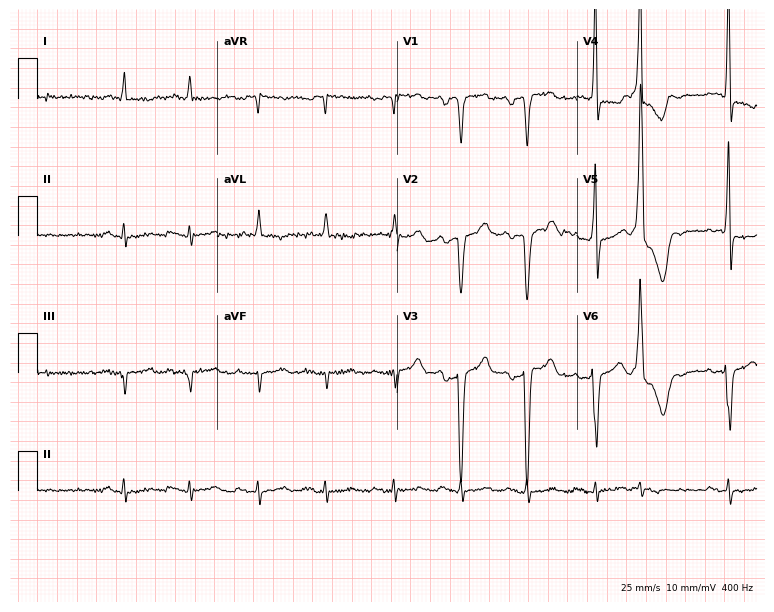
ECG (7.3-second recording at 400 Hz) — a male patient, 78 years old. Screened for six findings — first-degree AV block, right bundle branch block, left bundle branch block, sinus bradycardia, atrial fibrillation, sinus tachycardia — none is recorded. Only these six findings were labelled.